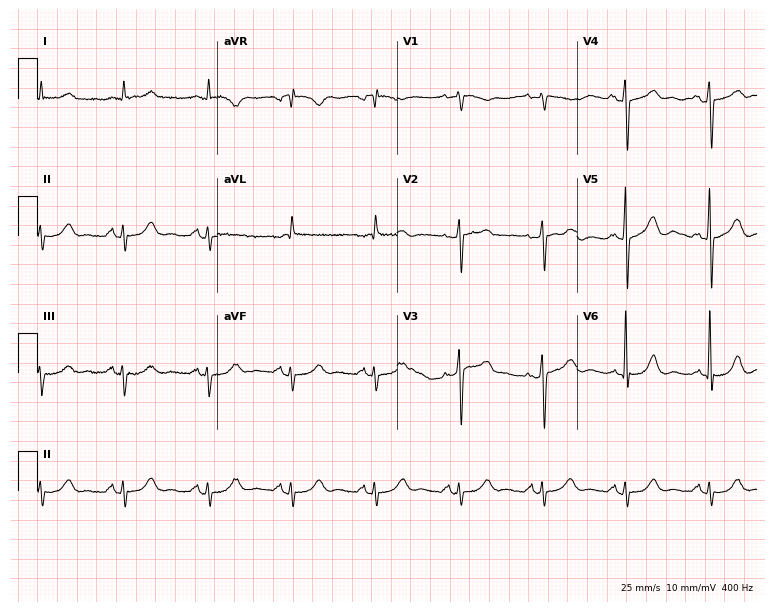
12-lead ECG from a man, 78 years old. Screened for six findings — first-degree AV block, right bundle branch block (RBBB), left bundle branch block (LBBB), sinus bradycardia, atrial fibrillation (AF), sinus tachycardia — none is recorded.